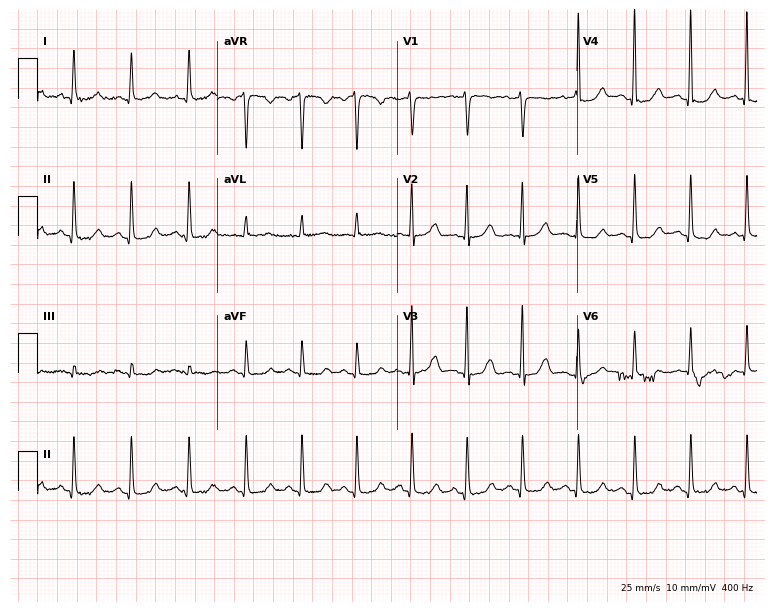
Electrocardiogram, a 53-year-old female. Overall reading on record: normal ECG.